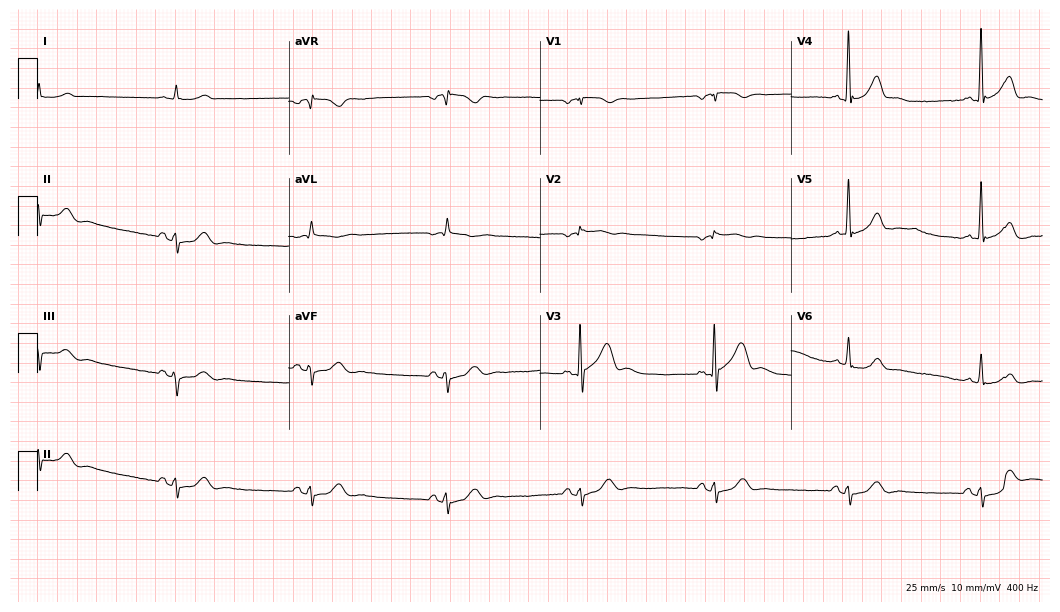
Electrocardiogram (10.2-second recording at 400 Hz), a man, 85 years old. Interpretation includes sinus bradycardia (a sinus rate of 50 beats per minute or less).